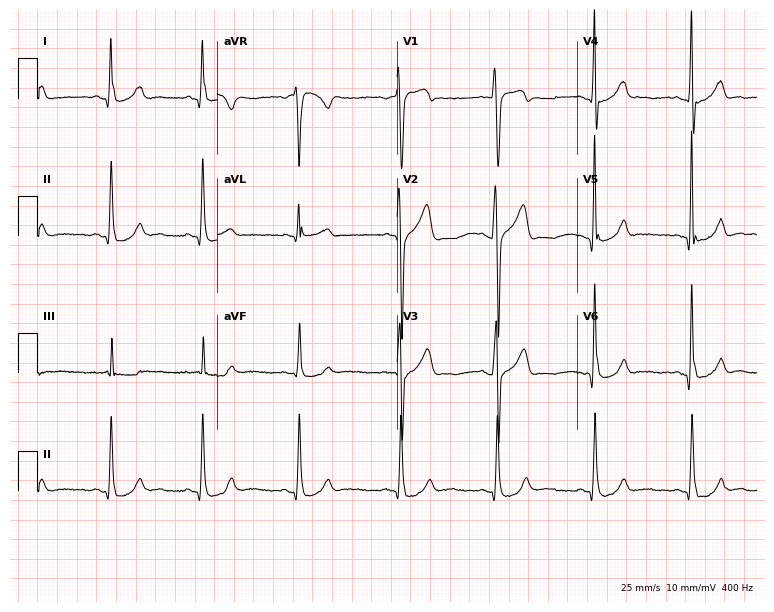
Standard 12-lead ECG recorded from a 40-year-old man (7.3-second recording at 400 Hz). None of these six findings is recorded: first-degree AV block, right bundle branch block, left bundle branch block, sinus bradycardia, atrial fibrillation, sinus tachycardia.